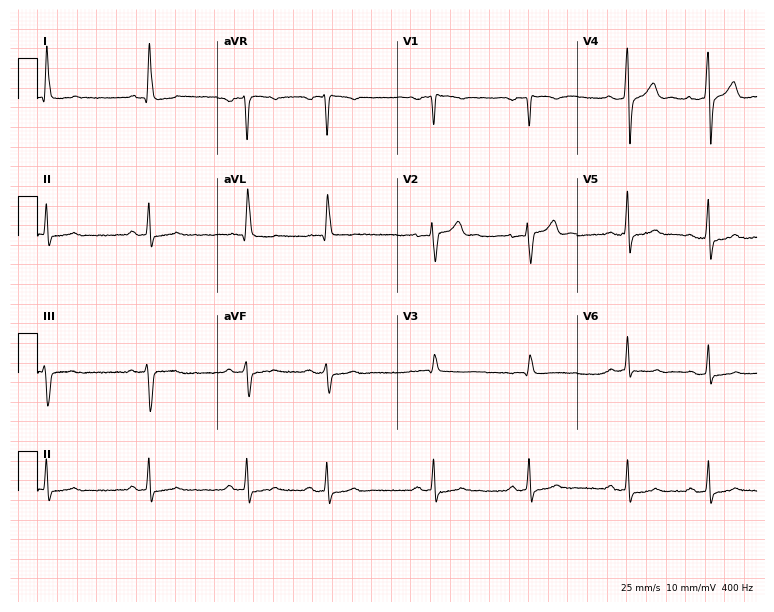
Electrocardiogram (7.3-second recording at 400 Hz), a male, 62 years old. Of the six screened findings (first-degree AV block, right bundle branch block (RBBB), left bundle branch block (LBBB), sinus bradycardia, atrial fibrillation (AF), sinus tachycardia), none is recorded. Other findings, if any, are not listed.